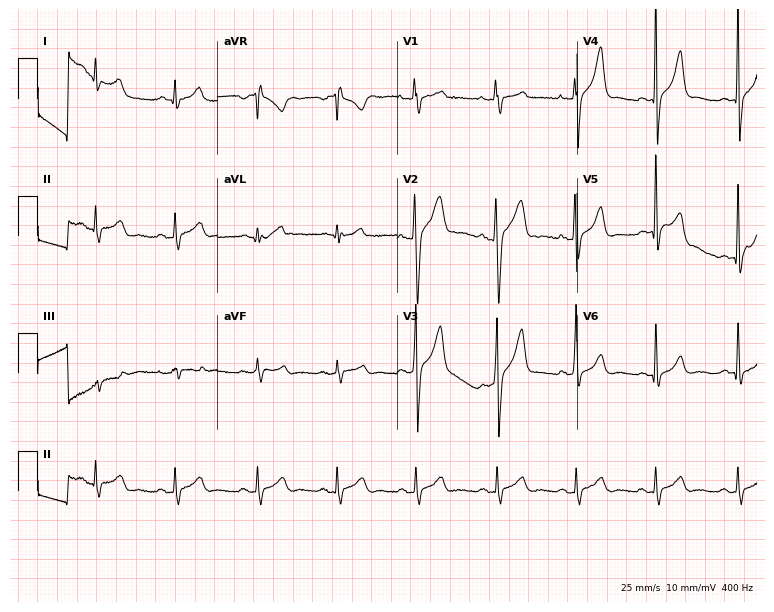
12-lead ECG (7.3-second recording at 400 Hz) from a 33-year-old man. Labelled as a normal ECG.